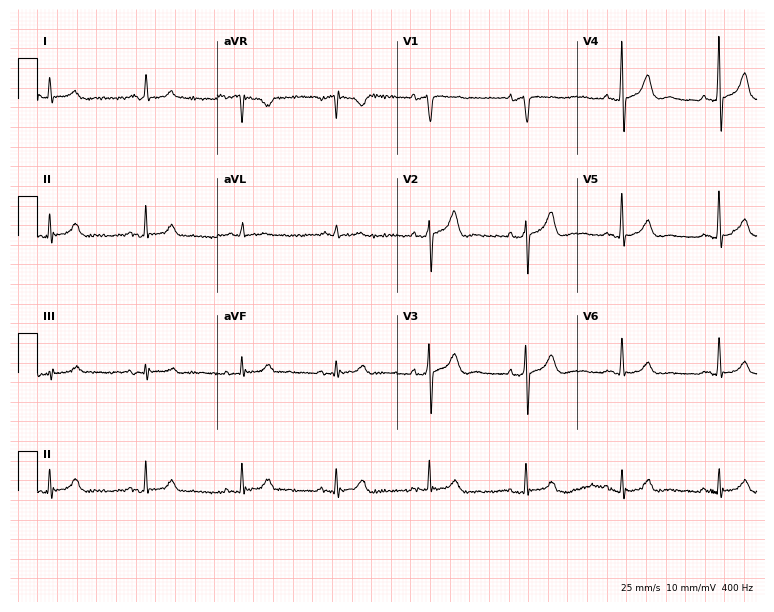
Resting 12-lead electrocardiogram. Patient: a 77-year-old male. None of these six findings is recorded: first-degree AV block, right bundle branch block, left bundle branch block, sinus bradycardia, atrial fibrillation, sinus tachycardia. Other findings, if any, are not listed.